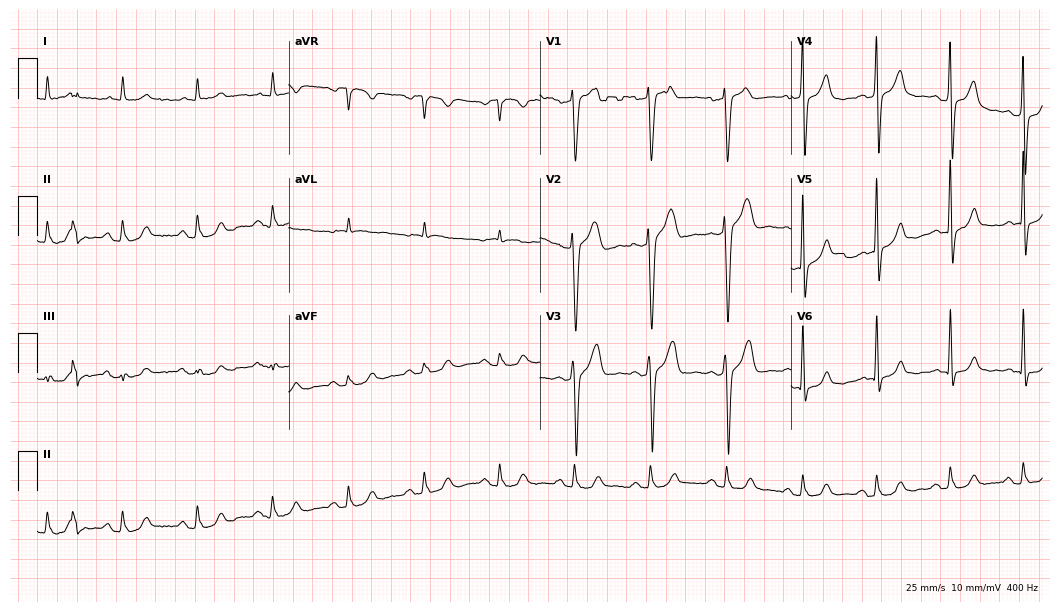
12-lead ECG from a 76-year-old male patient. Labelled as a normal ECG.